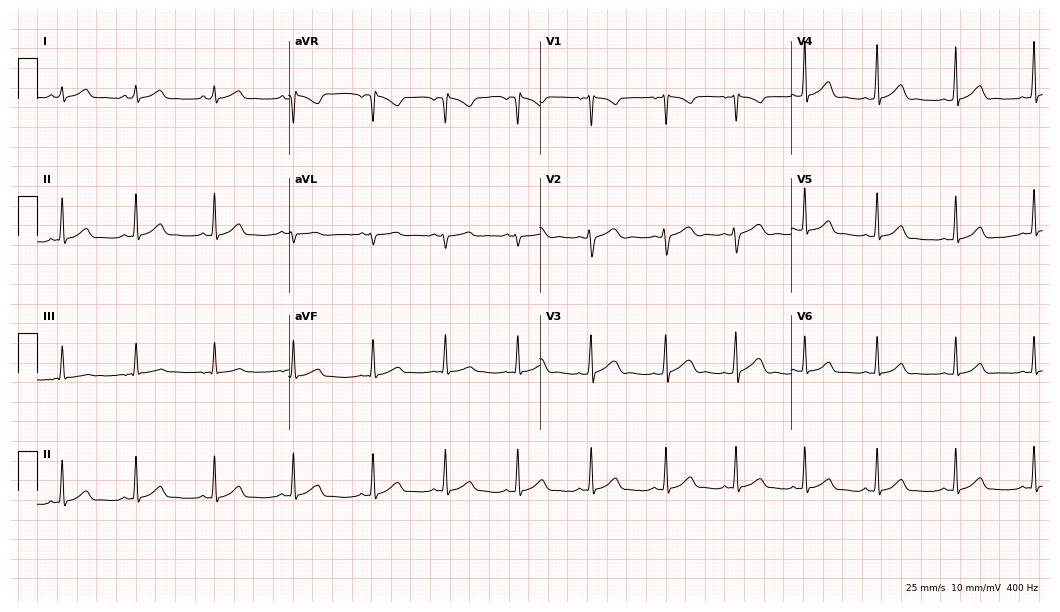
Electrocardiogram, a female patient, 20 years old. Overall reading on record: normal ECG.